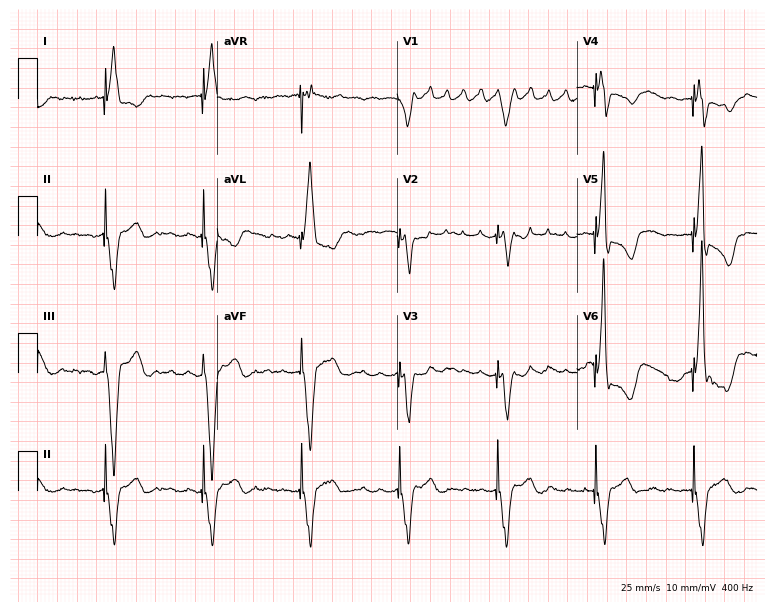
12-lead ECG (7.3-second recording at 400 Hz) from a 76-year-old female. Screened for six findings — first-degree AV block, right bundle branch block (RBBB), left bundle branch block (LBBB), sinus bradycardia, atrial fibrillation (AF), sinus tachycardia — none is recorded. Only these six findings were labelled.